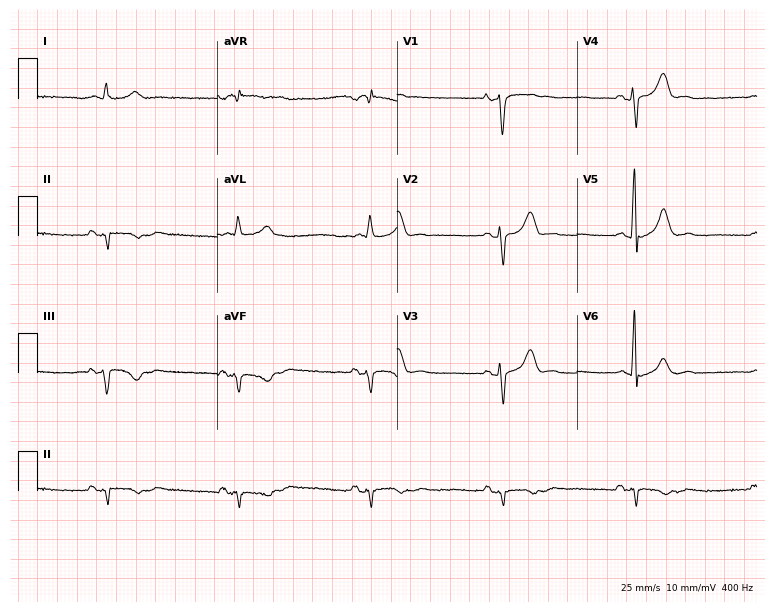
ECG (7.3-second recording at 400 Hz) — a man, 80 years old. Findings include sinus bradycardia (a sinus rate of 50 beats per minute or less).